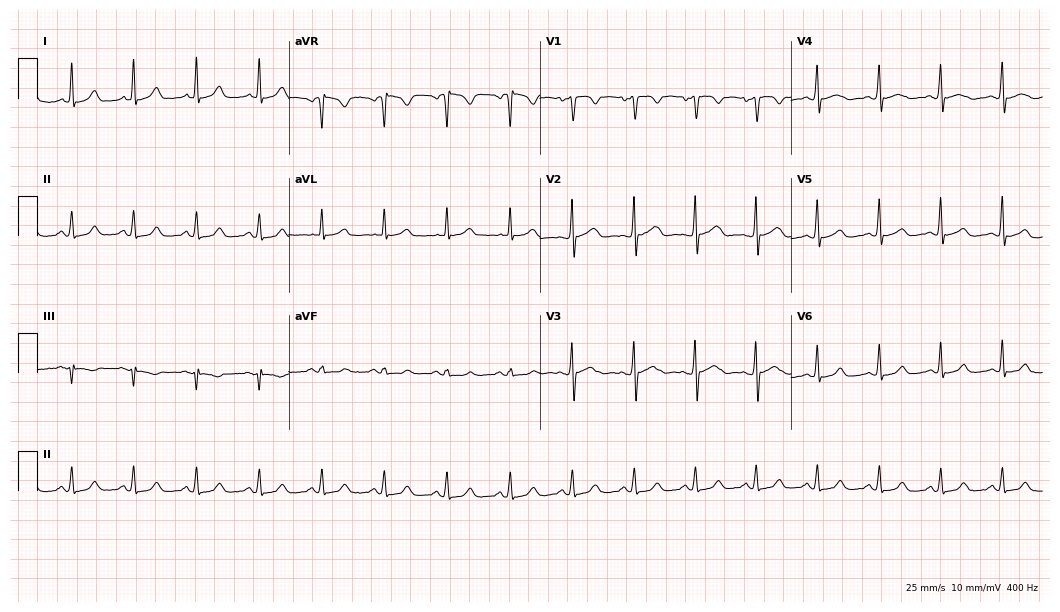
Electrocardiogram (10.2-second recording at 400 Hz), a female, 38 years old. Overall reading on record: normal ECG.